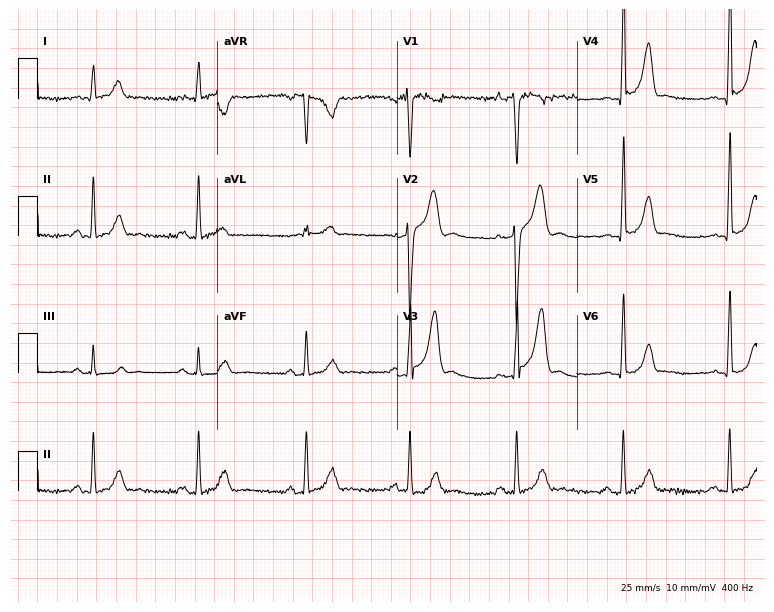
Resting 12-lead electrocardiogram (7.3-second recording at 400 Hz). Patient: a man, 45 years old. None of these six findings is recorded: first-degree AV block, right bundle branch block (RBBB), left bundle branch block (LBBB), sinus bradycardia, atrial fibrillation (AF), sinus tachycardia.